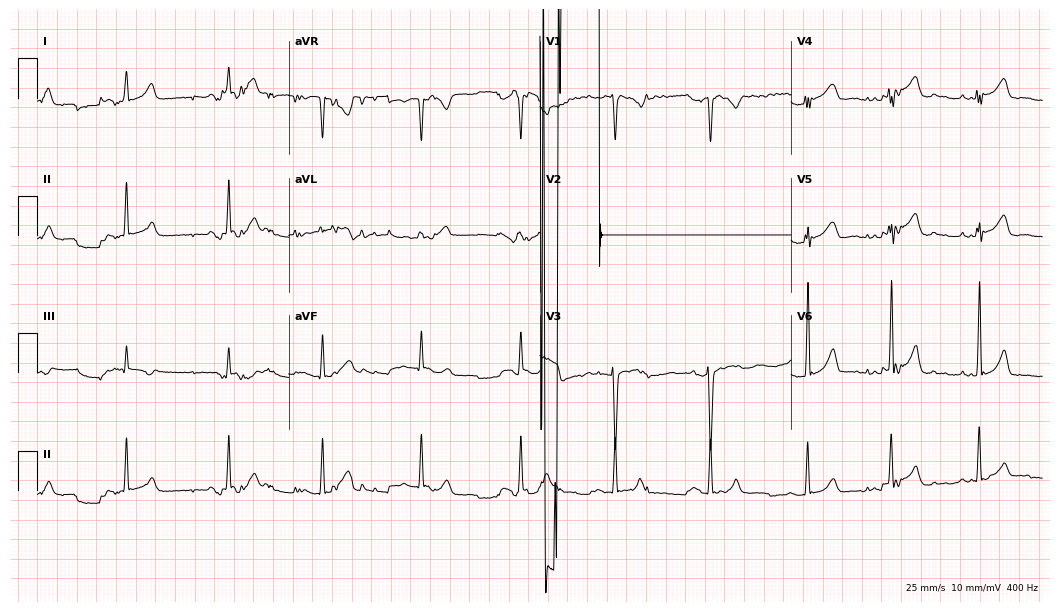
12-lead ECG (10.2-second recording at 400 Hz) from a 30-year-old female. Screened for six findings — first-degree AV block, right bundle branch block (RBBB), left bundle branch block (LBBB), sinus bradycardia, atrial fibrillation (AF), sinus tachycardia — none is recorded.